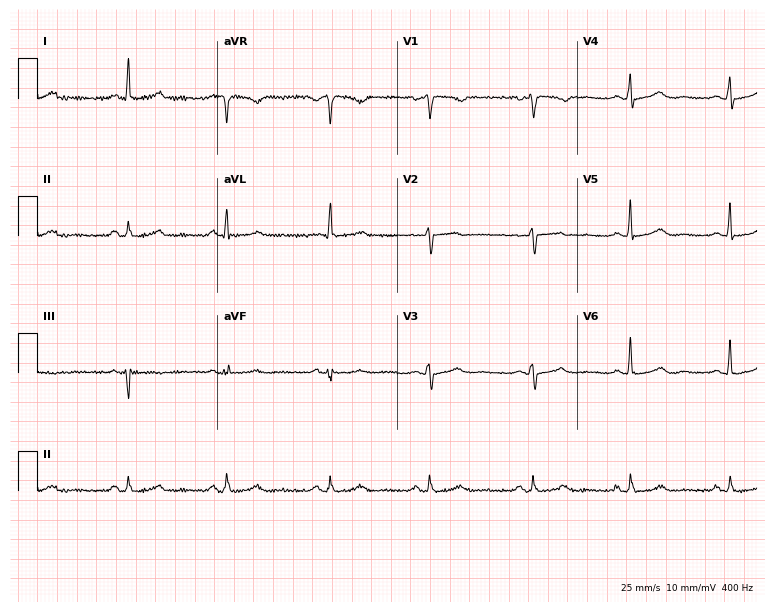
Resting 12-lead electrocardiogram. Patient: a 45-year-old woman. Read as a normal ECG.